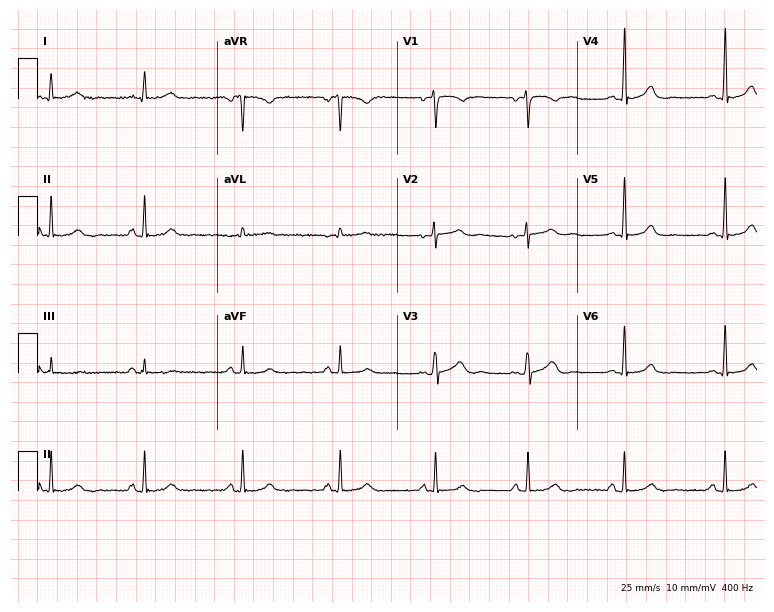
12-lead ECG from a woman, 46 years old. Labelled as a normal ECG.